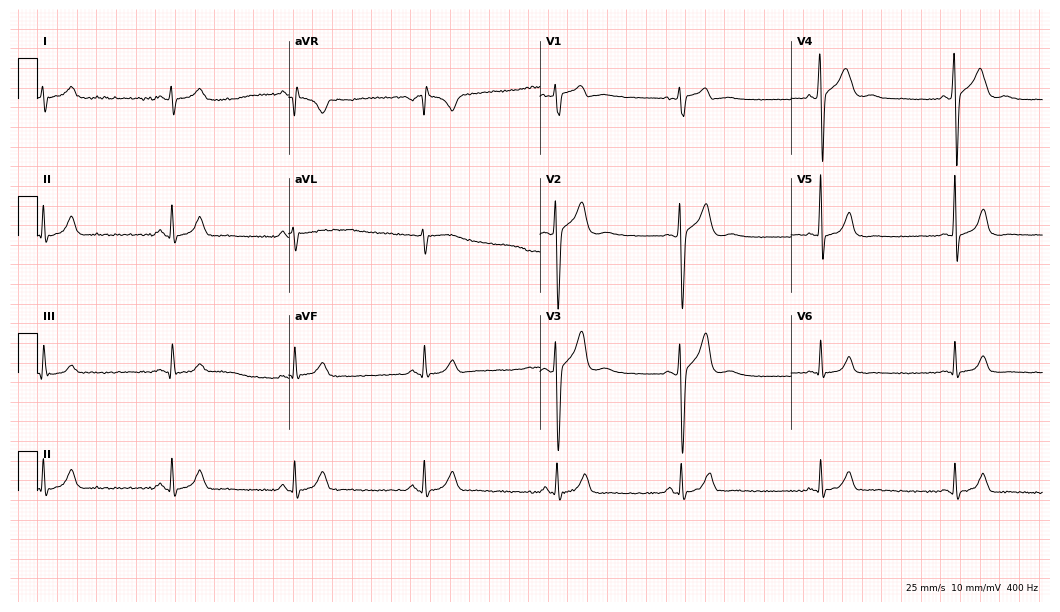
ECG (10.2-second recording at 400 Hz) — a 31-year-old man. Findings include sinus bradycardia (a sinus rate of 50 beats per minute or less).